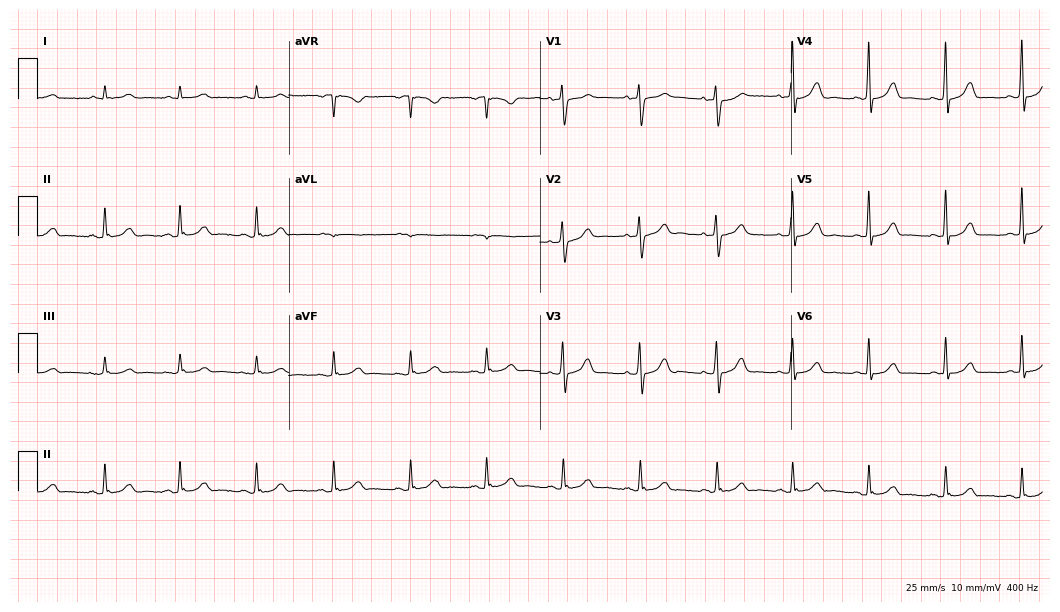
Resting 12-lead electrocardiogram (10.2-second recording at 400 Hz). Patient: a male, 85 years old. Read as a normal ECG.